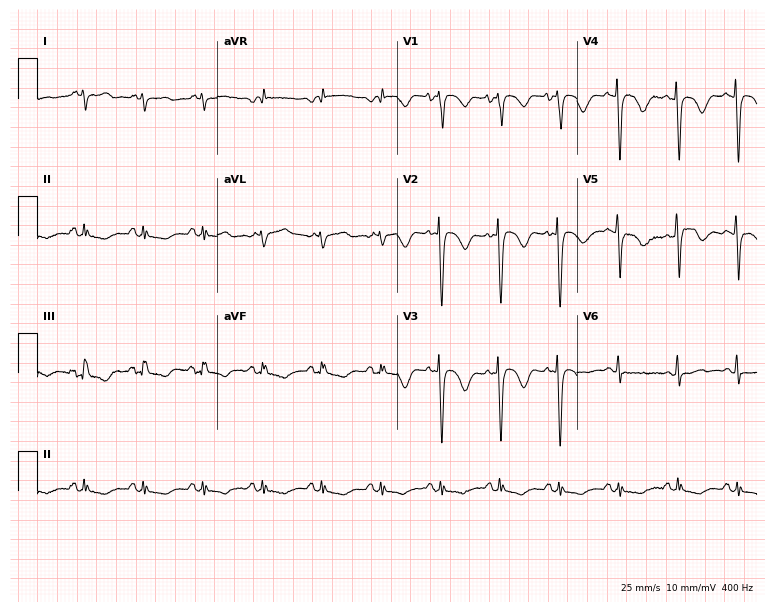
12-lead ECG from a female, 82 years old. Screened for six findings — first-degree AV block, right bundle branch block, left bundle branch block, sinus bradycardia, atrial fibrillation, sinus tachycardia — none is recorded.